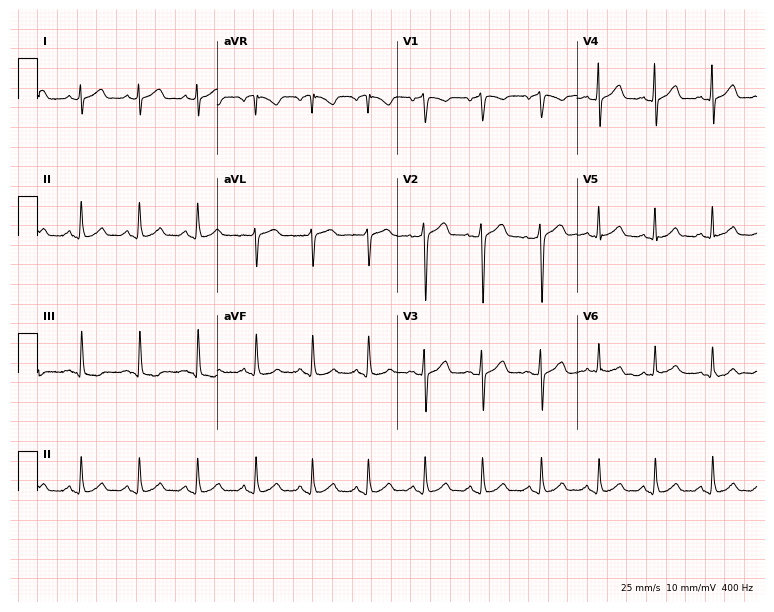
12-lead ECG from a woman, 50 years old. Screened for six findings — first-degree AV block, right bundle branch block, left bundle branch block, sinus bradycardia, atrial fibrillation, sinus tachycardia — none is recorded. Other findings, if any, are not listed.